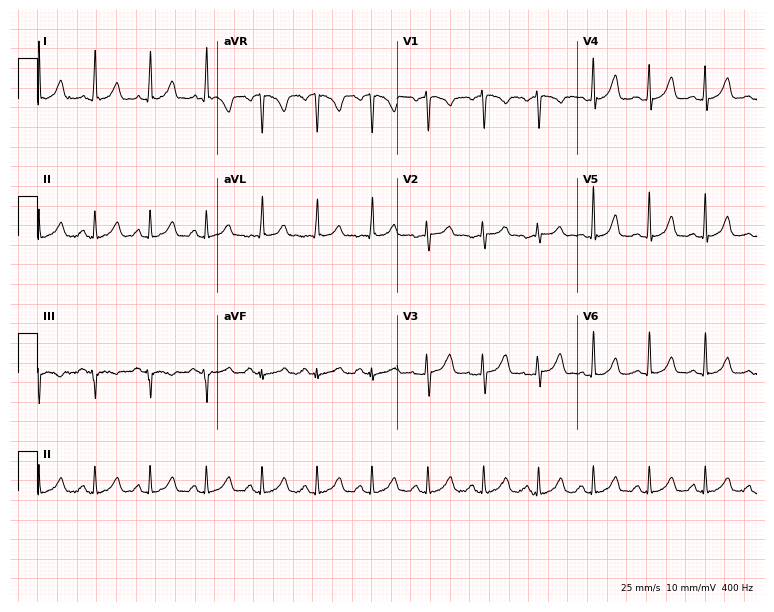
Resting 12-lead electrocardiogram (7.3-second recording at 400 Hz). Patient: a 35-year-old female. The tracing shows sinus tachycardia (a sinus rate of 100 beats per minute or more).